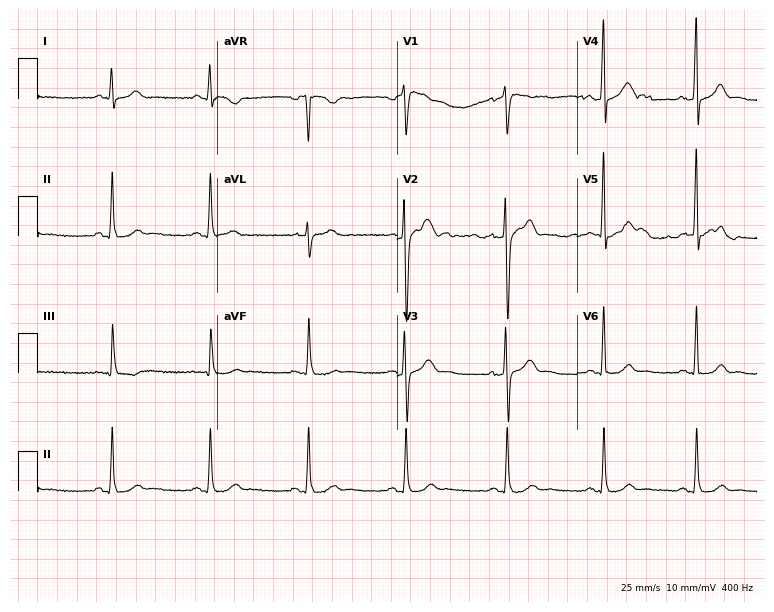
Standard 12-lead ECG recorded from a male patient, 45 years old (7.3-second recording at 400 Hz). Read as a normal ECG.